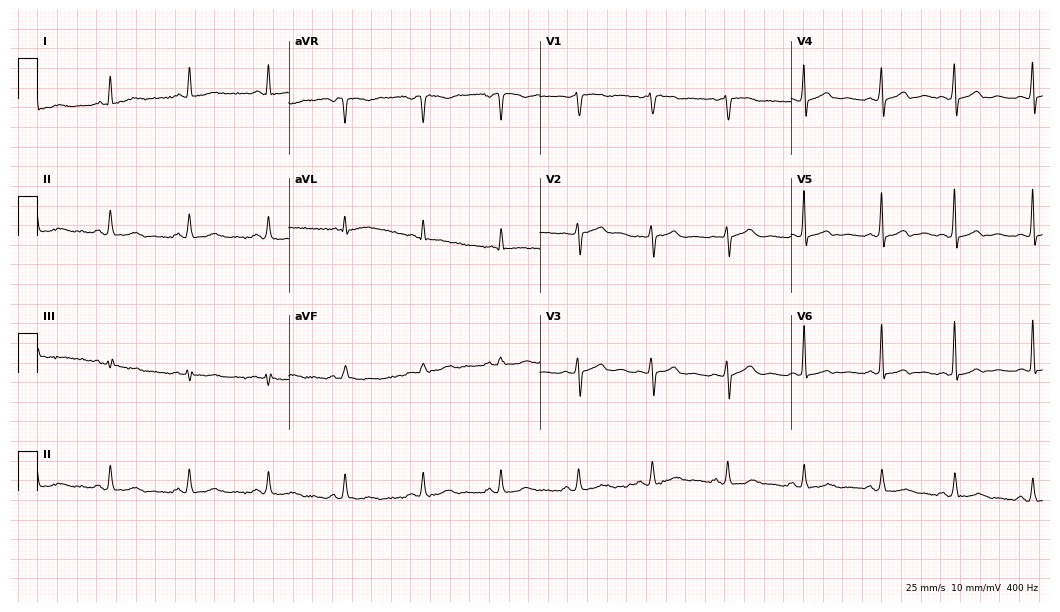
Standard 12-lead ECG recorded from a woman, 68 years old (10.2-second recording at 400 Hz). Read as a normal ECG.